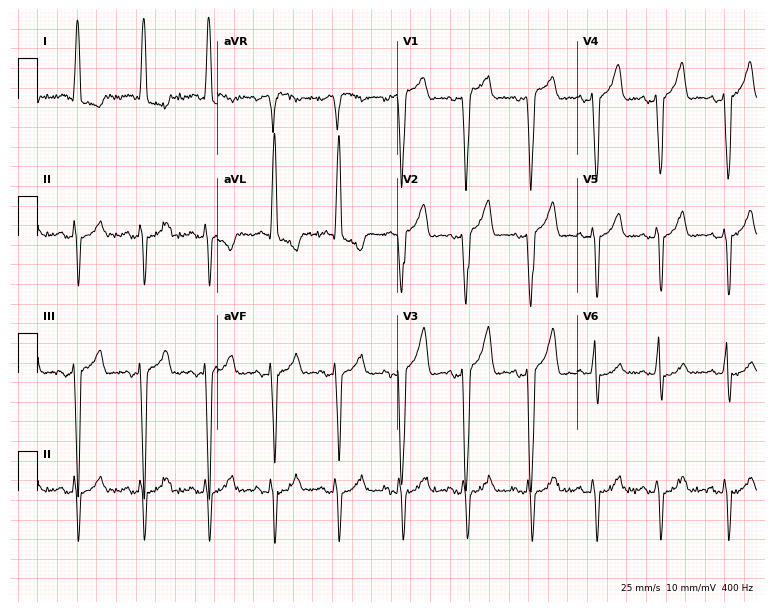
12-lead ECG from a 69-year-old woman. Screened for six findings — first-degree AV block, right bundle branch block, left bundle branch block, sinus bradycardia, atrial fibrillation, sinus tachycardia — none is recorded.